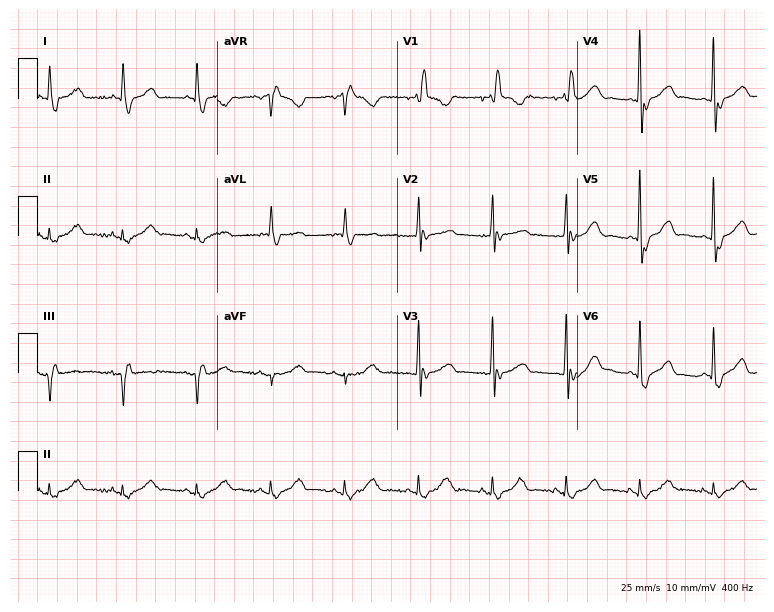
12-lead ECG from a 79-year-old female patient (7.3-second recording at 400 Hz). Shows right bundle branch block (RBBB).